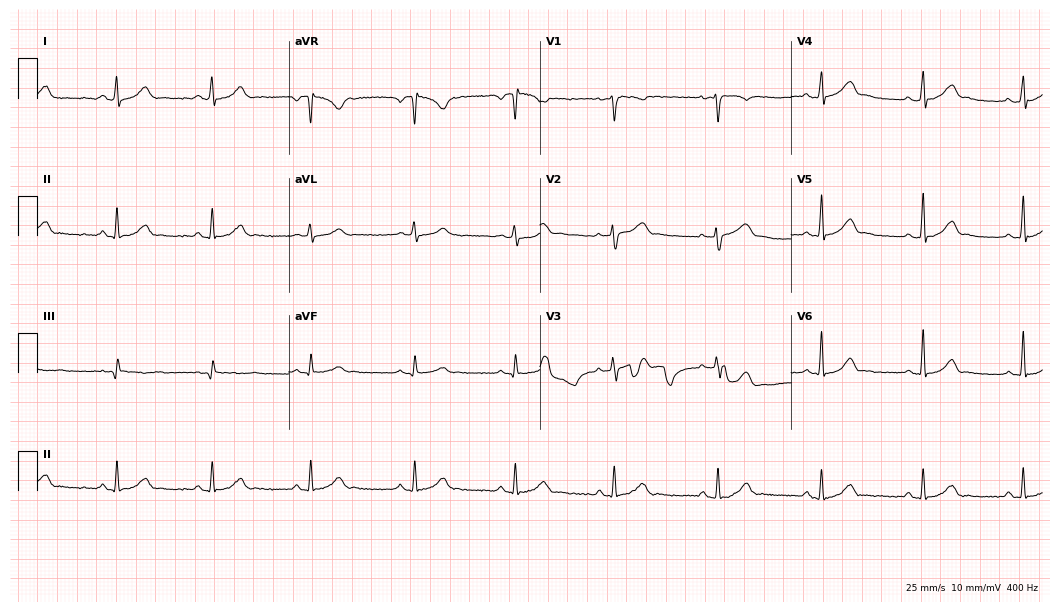
Resting 12-lead electrocardiogram. Patient: a 28-year-old female. Read as a normal ECG.